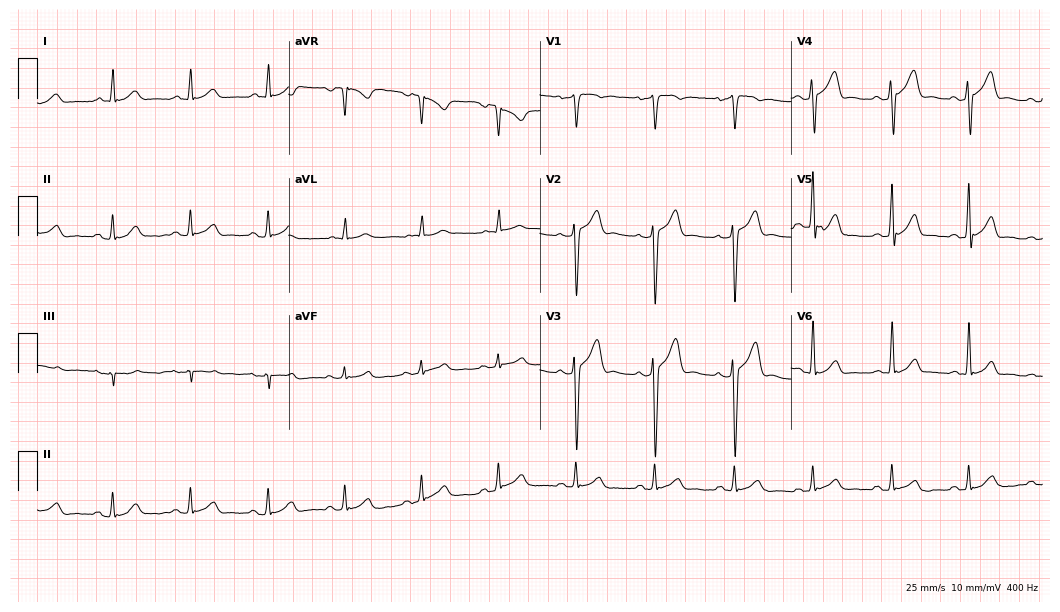
Resting 12-lead electrocardiogram. Patient: a 36-year-old man. None of these six findings is recorded: first-degree AV block, right bundle branch block, left bundle branch block, sinus bradycardia, atrial fibrillation, sinus tachycardia. Only these six findings were labelled.